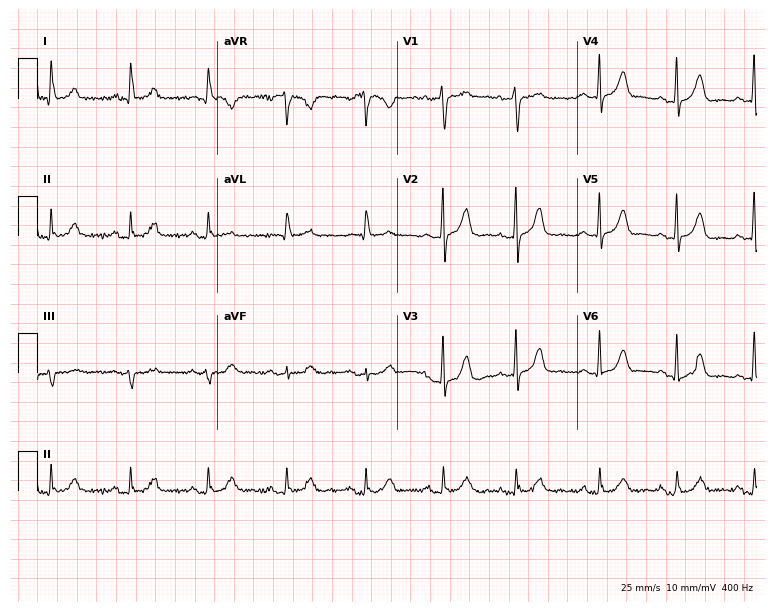
12-lead ECG (7.3-second recording at 400 Hz) from a female, 70 years old. Screened for six findings — first-degree AV block, right bundle branch block, left bundle branch block, sinus bradycardia, atrial fibrillation, sinus tachycardia — none is recorded.